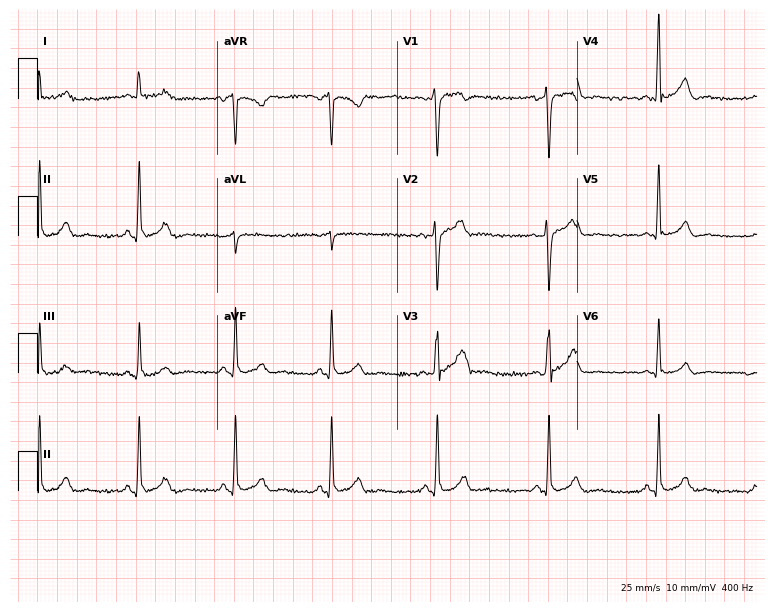
12-lead ECG (7.3-second recording at 400 Hz) from a 34-year-old male. Screened for six findings — first-degree AV block, right bundle branch block, left bundle branch block, sinus bradycardia, atrial fibrillation, sinus tachycardia — none is recorded.